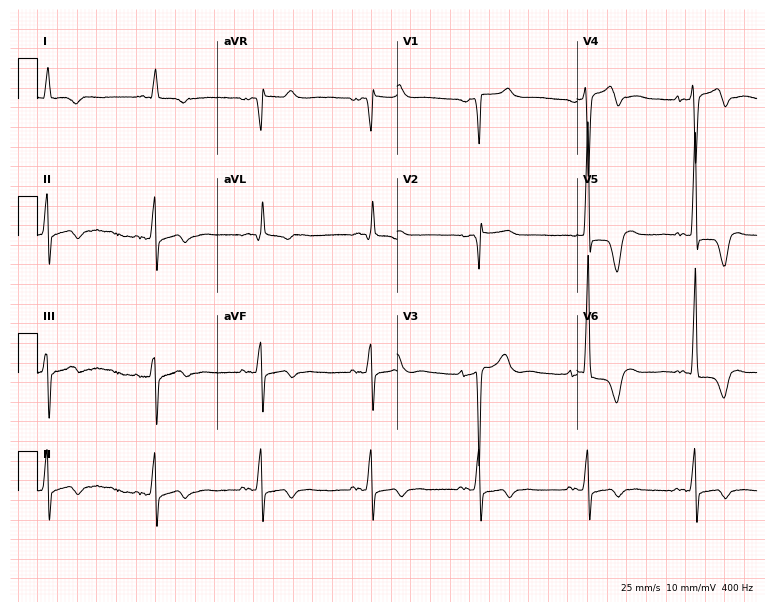
Resting 12-lead electrocardiogram (7.3-second recording at 400 Hz). Patient: a man, 85 years old. None of these six findings is recorded: first-degree AV block, right bundle branch block, left bundle branch block, sinus bradycardia, atrial fibrillation, sinus tachycardia. Other findings, if any, are not listed.